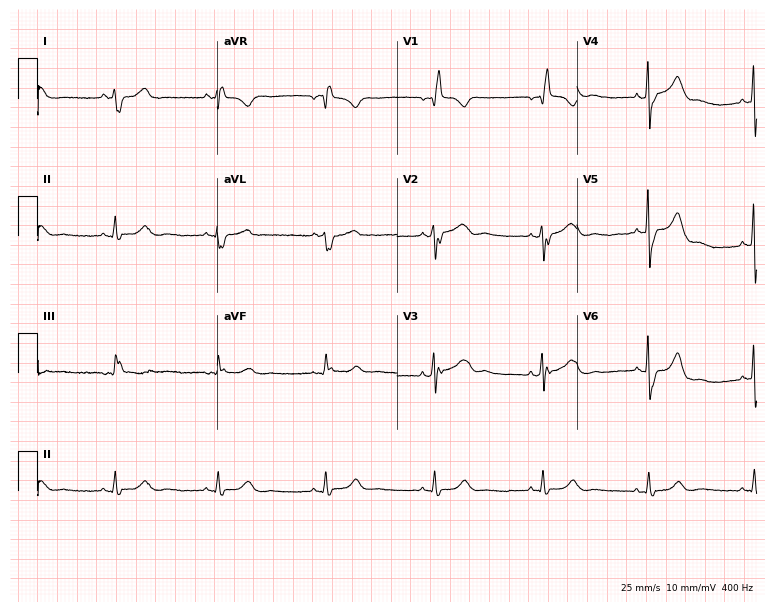
12-lead ECG from a man, 68 years old (7.3-second recording at 400 Hz). Shows right bundle branch block.